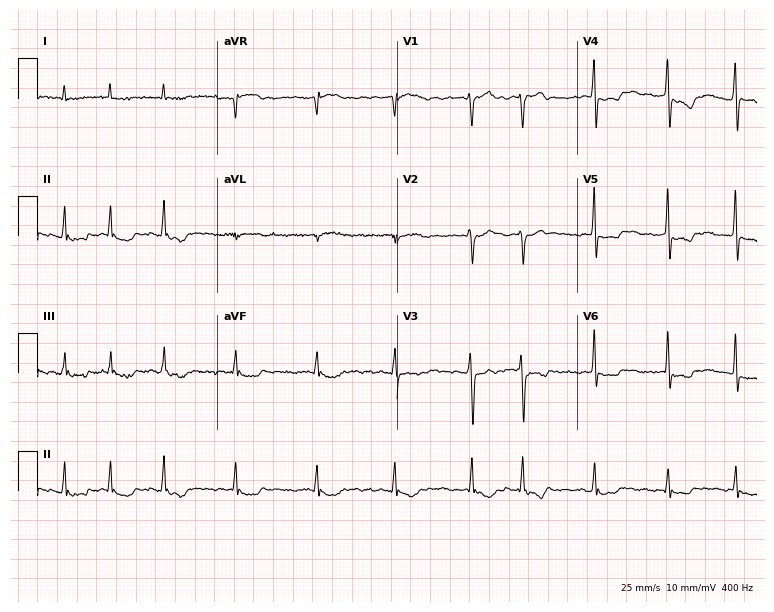
ECG (7.3-second recording at 400 Hz) — a 73-year-old man. Findings include atrial fibrillation.